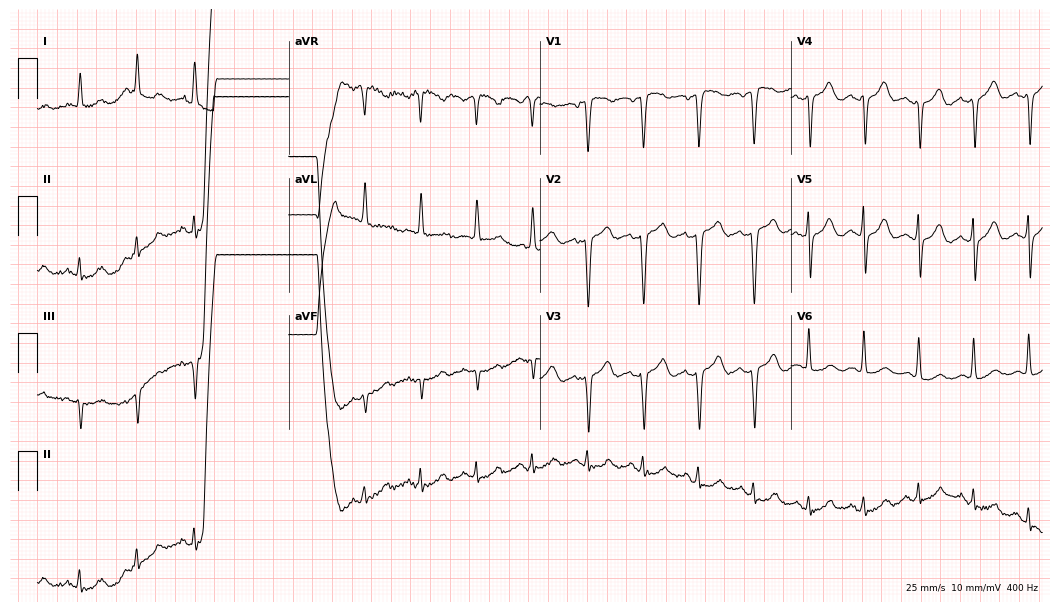
Electrocardiogram, a 63-year-old woman. Interpretation includes sinus tachycardia (a sinus rate of 100 beats per minute or more).